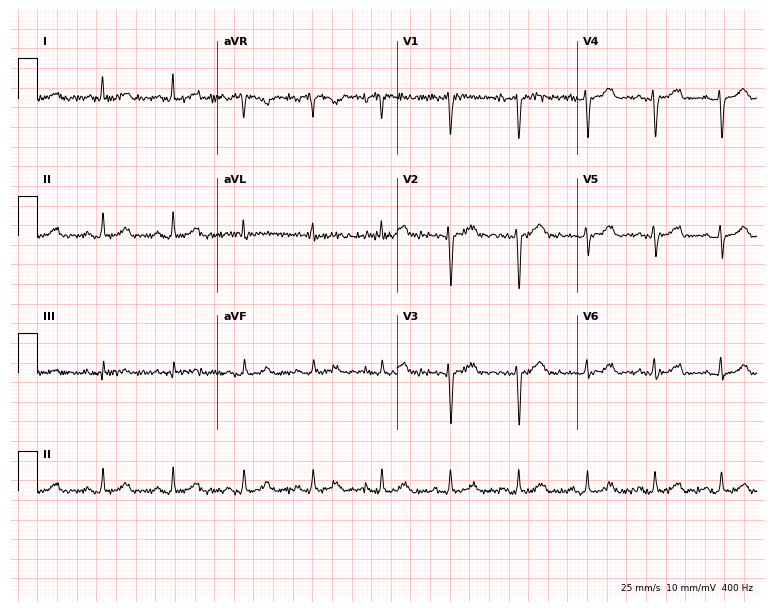
Resting 12-lead electrocardiogram (7.3-second recording at 400 Hz). Patient: a female, 53 years old. Read as a normal ECG.